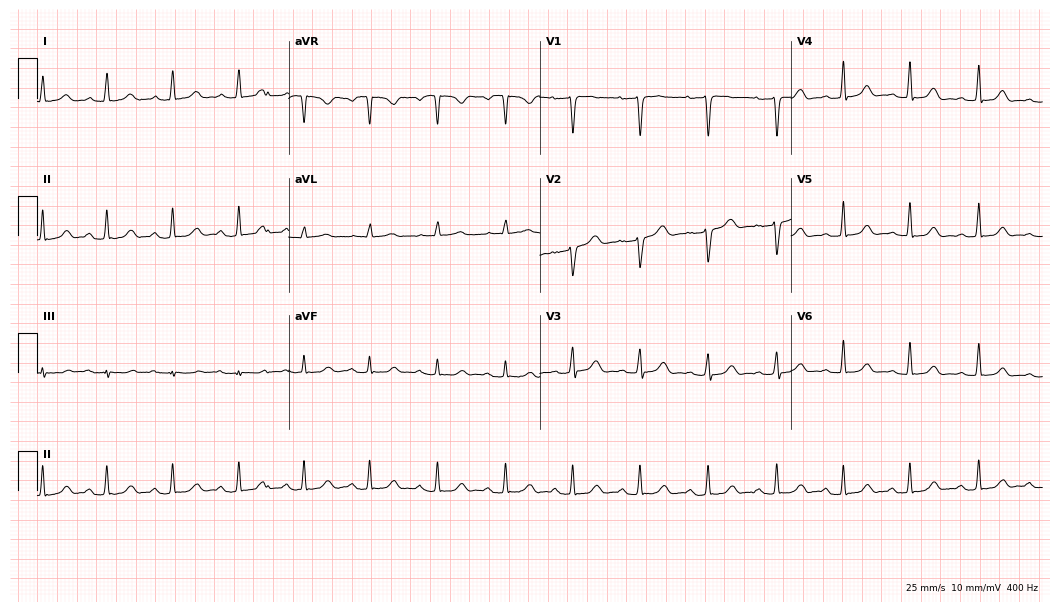
Electrocardiogram (10.2-second recording at 400 Hz), a woman, 37 years old. Overall reading on record: normal ECG.